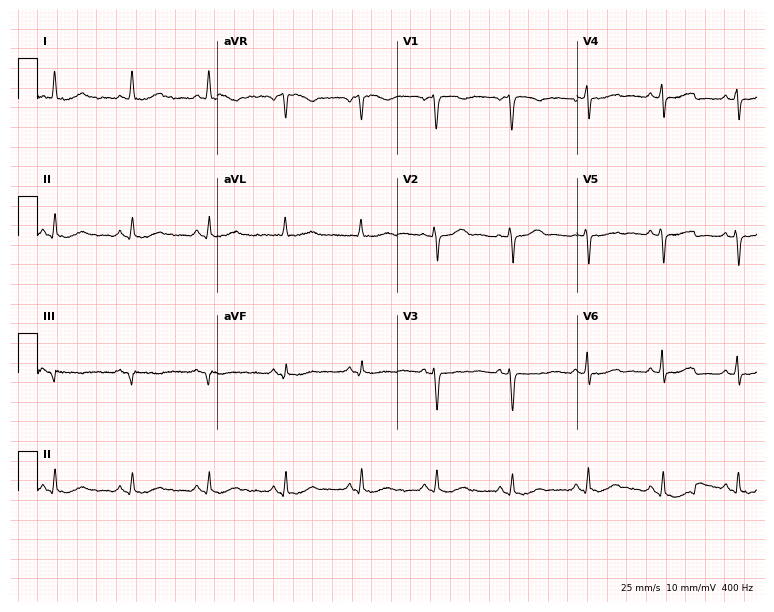
12-lead ECG from a 66-year-old female. Screened for six findings — first-degree AV block, right bundle branch block, left bundle branch block, sinus bradycardia, atrial fibrillation, sinus tachycardia — none is recorded. Only these six findings were labelled.